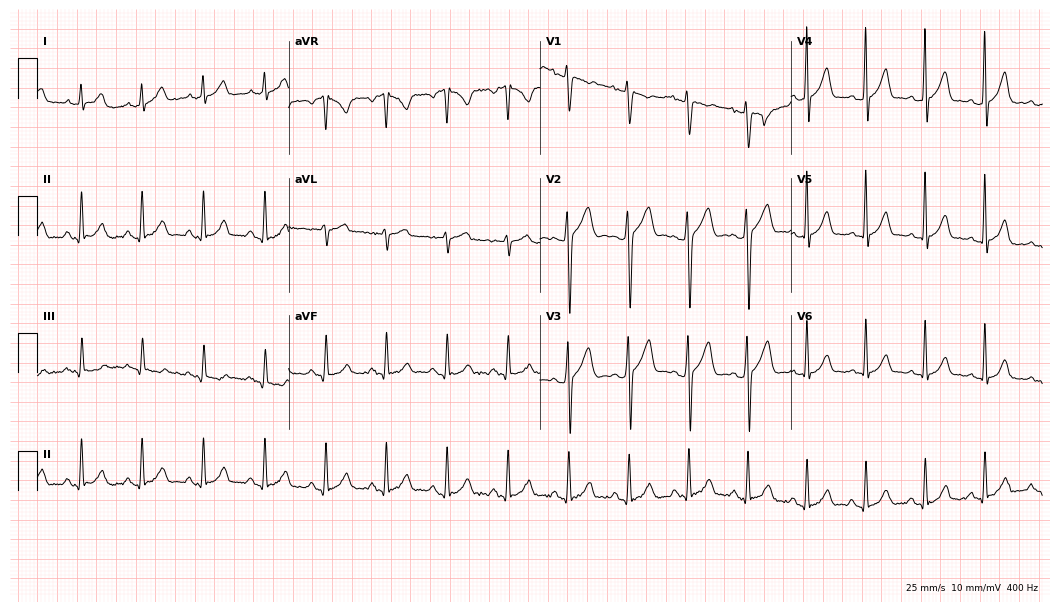
Electrocardiogram, a 31-year-old man. Overall reading on record: normal ECG.